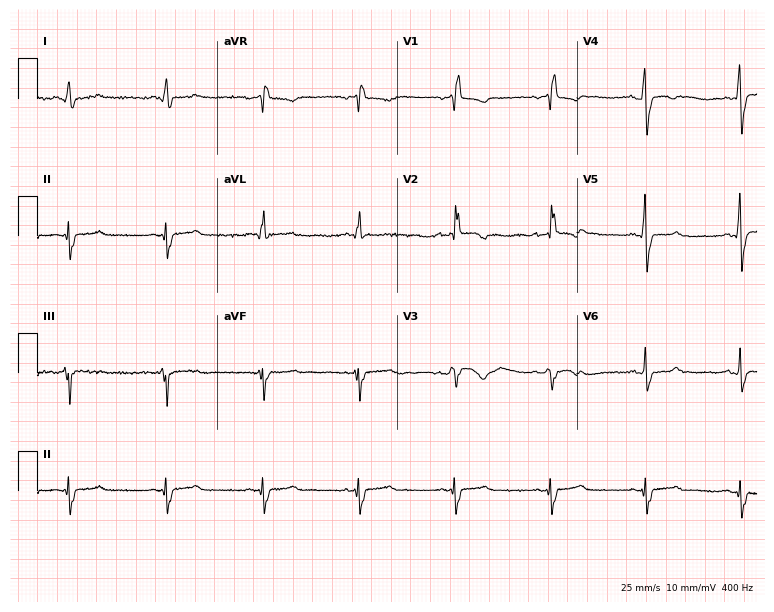
Electrocardiogram (7.3-second recording at 400 Hz), a 64-year-old man. Interpretation includes right bundle branch block (RBBB).